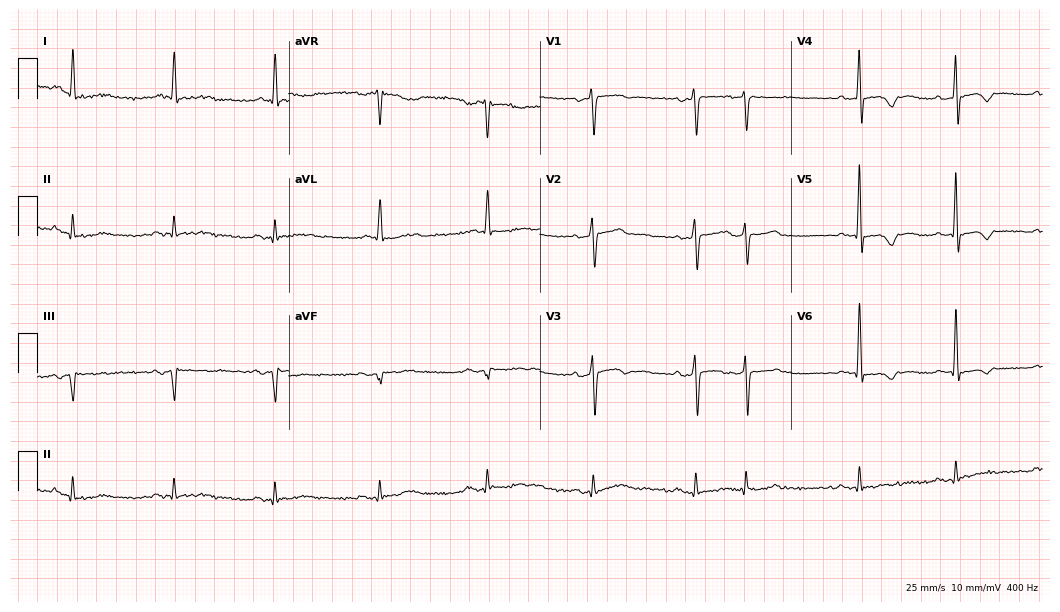
Electrocardiogram, a man, 77 years old. Of the six screened findings (first-degree AV block, right bundle branch block (RBBB), left bundle branch block (LBBB), sinus bradycardia, atrial fibrillation (AF), sinus tachycardia), none is recorded. Only these six findings were labelled.